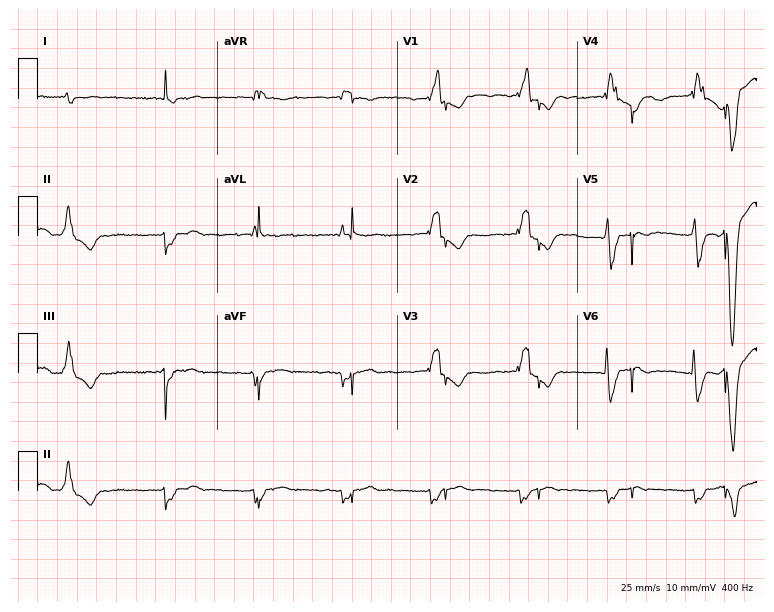
ECG (7.3-second recording at 400 Hz) — a 64-year-old man. Screened for six findings — first-degree AV block, right bundle branch block, left bundle branch block, sinus bradycardia, atrial fibrillation, sinus tachycardia — none is recorded. Other findings, if any, are not listed.